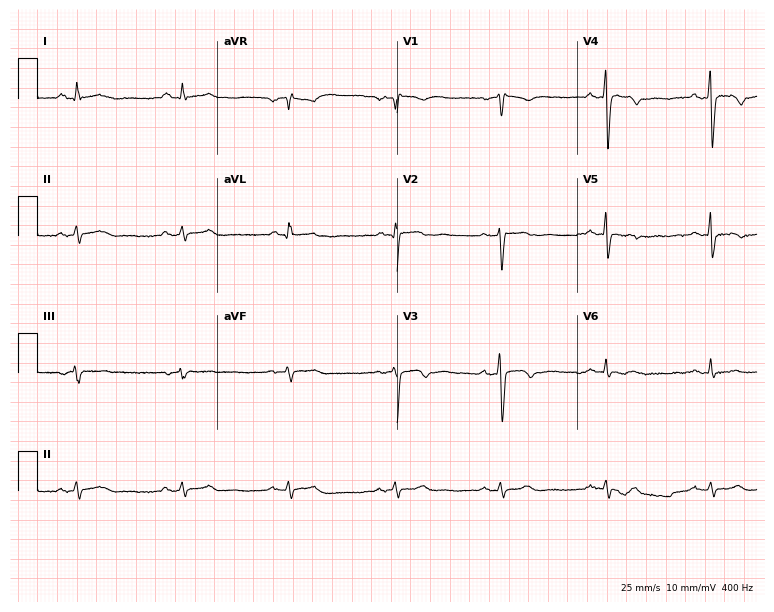
12-lead ECG from a male, 72 years old. No first-degree AV block, right bundle branch block (RBBB), left bundle branch block (LBBB), sinus bradycardia, atrial fibrillation (AF) or sinus tachycardia recorded for this tracing. Other findings, if any, are not listed.